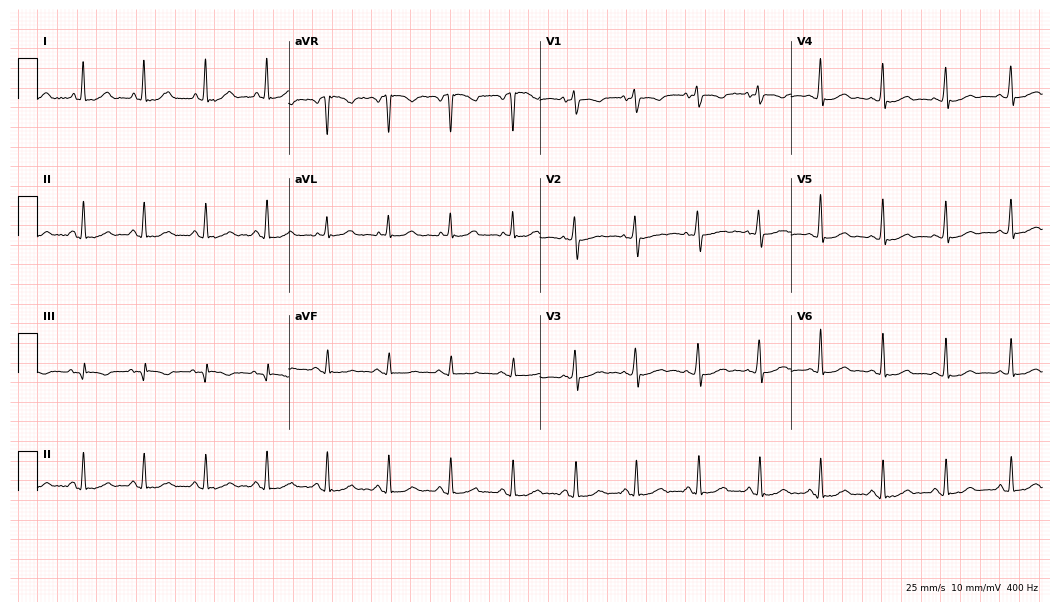
Standard 12-lead ECG recorded from a woman, 46 years old. None of these six findings is recorded: first-degree AV block, right bundle branch block, left bundle branch block, sinus bradycardia, atrial fibrillation, sinus tachycardia. Only these six findings were labelled.